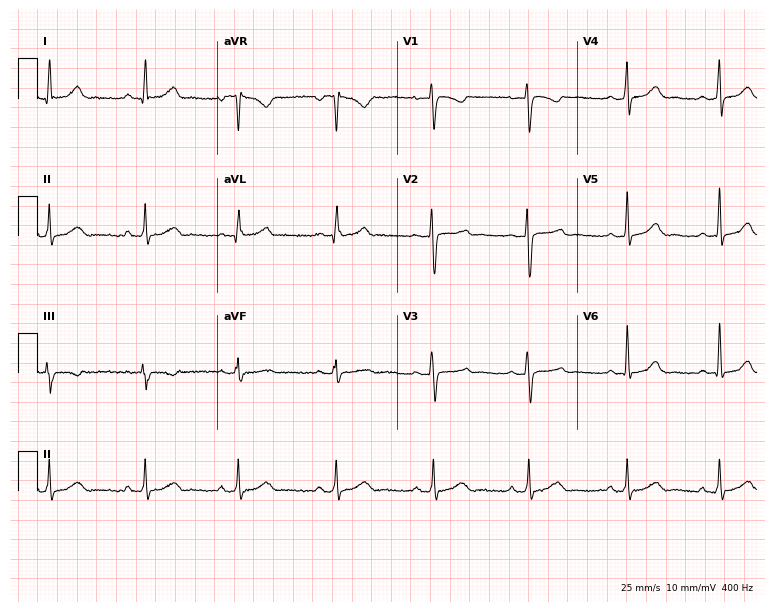
12-lead ECG from a female patient, 43 years old (7.3-second recording at 400 Hz). Recorded interpretation: within normal limits.